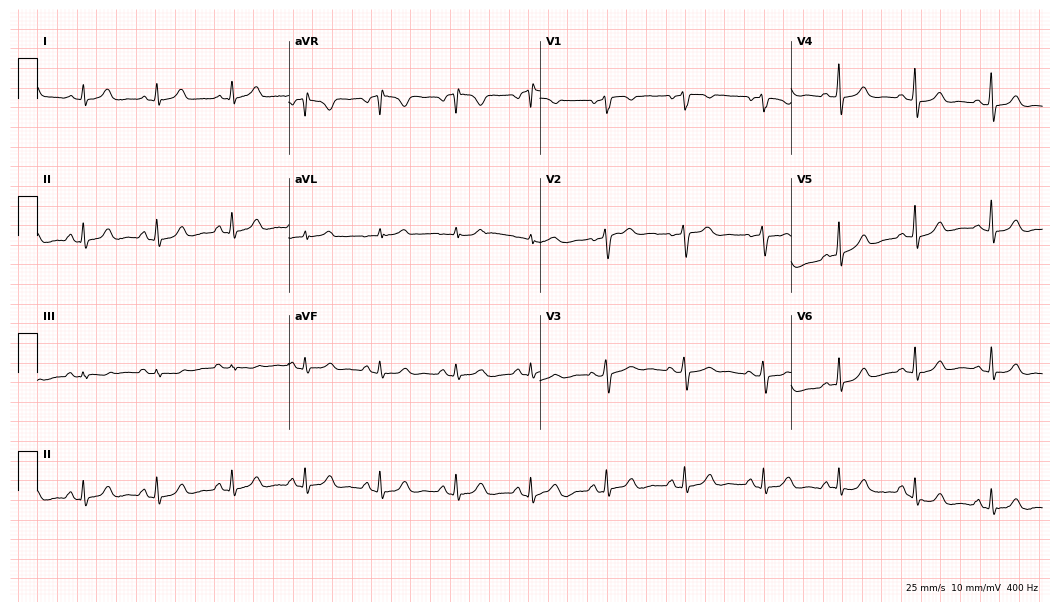
ECG — a female, 37 years old. Labelled as a normal ECG.